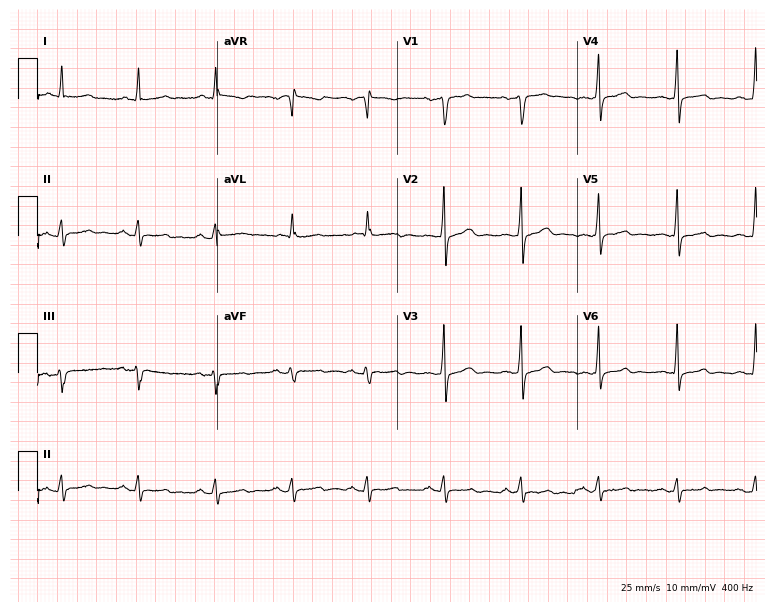
Electrocardiogram, a 60-year-old male patient. Of the six screened findings (first-degree AV block, right bundle branch block (RBBB), left bundle branch block (LBBB), sinus bradycardia, atrial fibrillation (AF), sinus tachycardia), none is recorded.